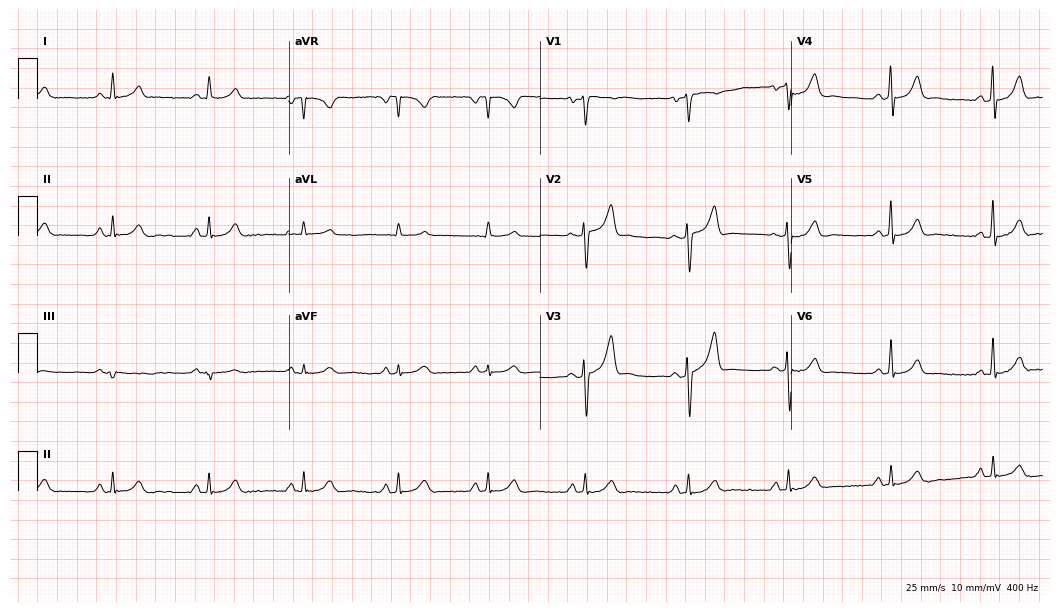
Electrocardiogram (10.2-second recording at 400 Hz), a male, 46 years old. Overall reading on record: normal ECG.